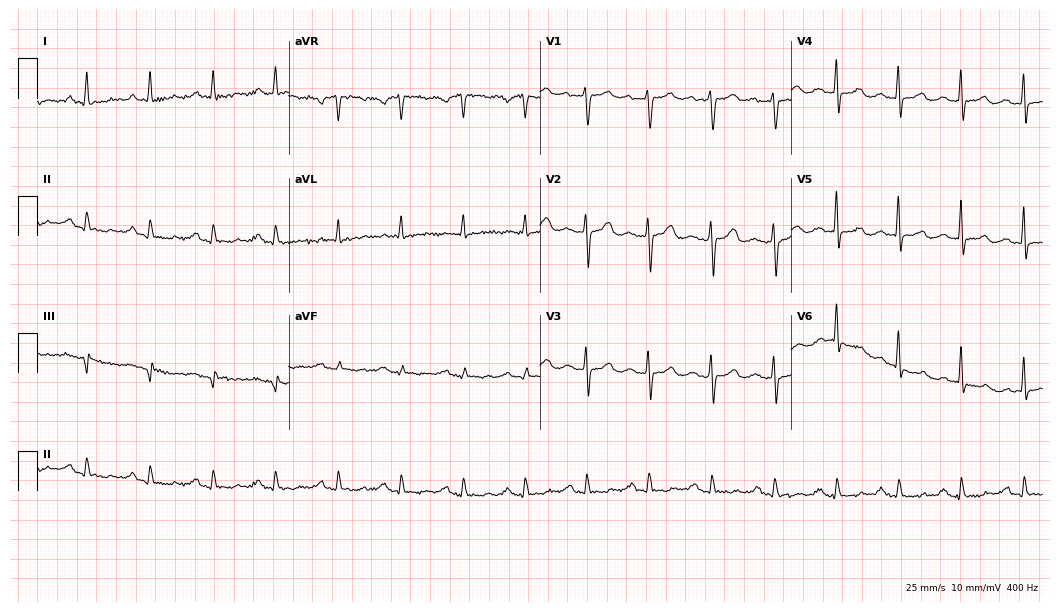
Standard 12-lead ECG recorded from a female patient, 47 years old. Read as a normal ECG.